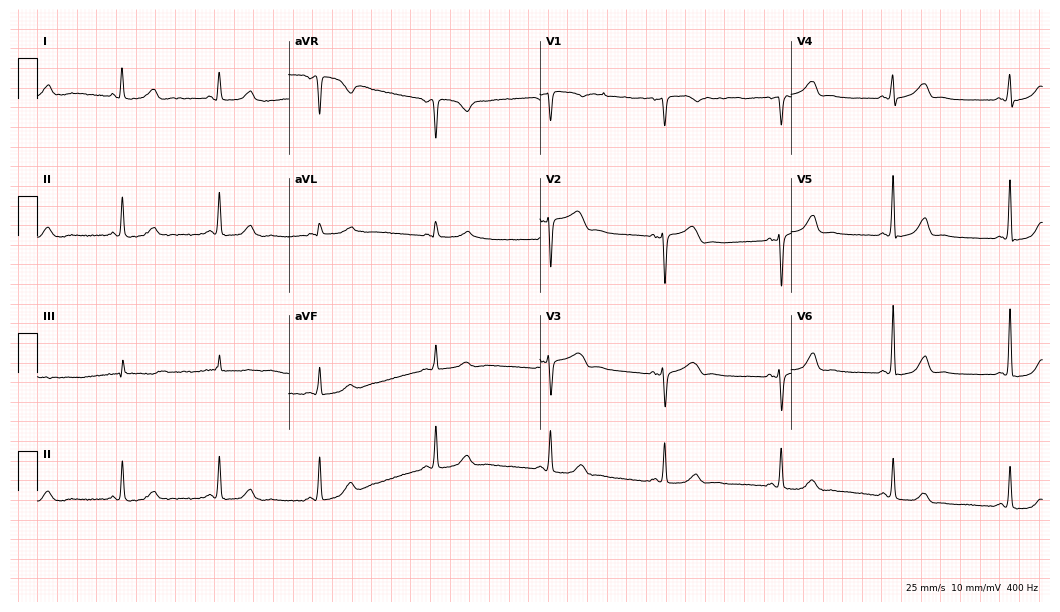
12-lead ECG from a 62-year-old female patient. Labelled as a normal ECG.